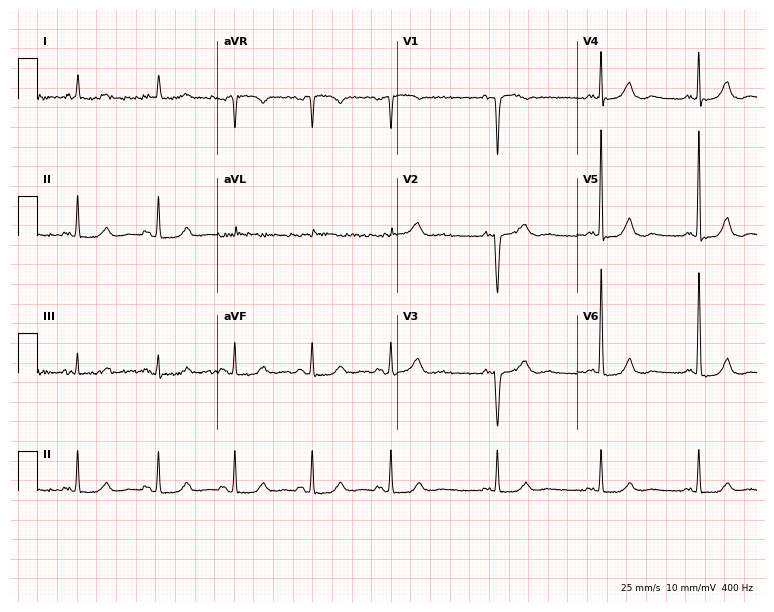
12-lead ECG (7.3-second recording at 400 Hz) from a woman, 74 years old. Screened for six findings — first-degree AV block, right bundle branch block, left bundle branch block, sinus bradycardia, atrial fibrillation, sinus tachycardia — none is recorded. Other findings, if any, are not listed.